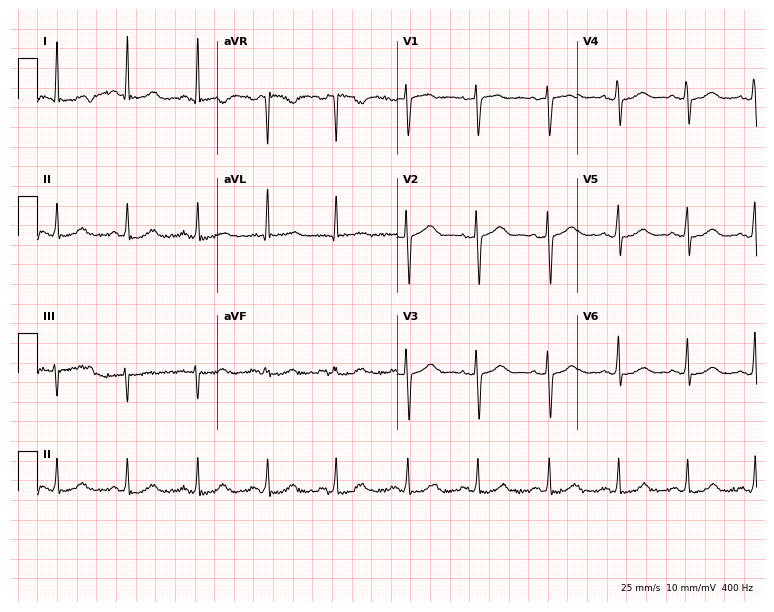
ECG — a female, 70 years old. Screened for six findings — first-degree AV block, right bundle branch block (RBBB), left bundle branch block (LBBB), sinus bradycardia, atrial fibrillation (AF), sinus tachycardia — none is recorded. Findings outside these six are not listed.